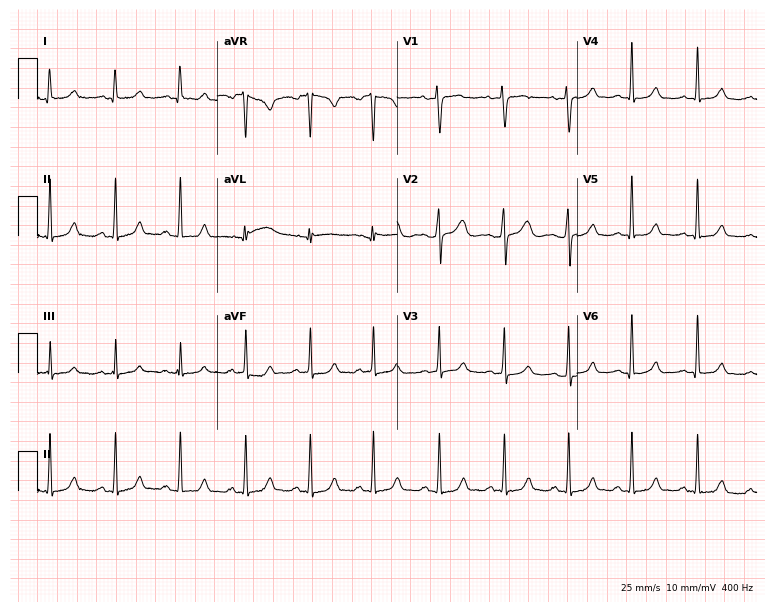
Resting 12-lead electrocardiogram. Patient: a female, 23 years old. Read as a normal ECG.